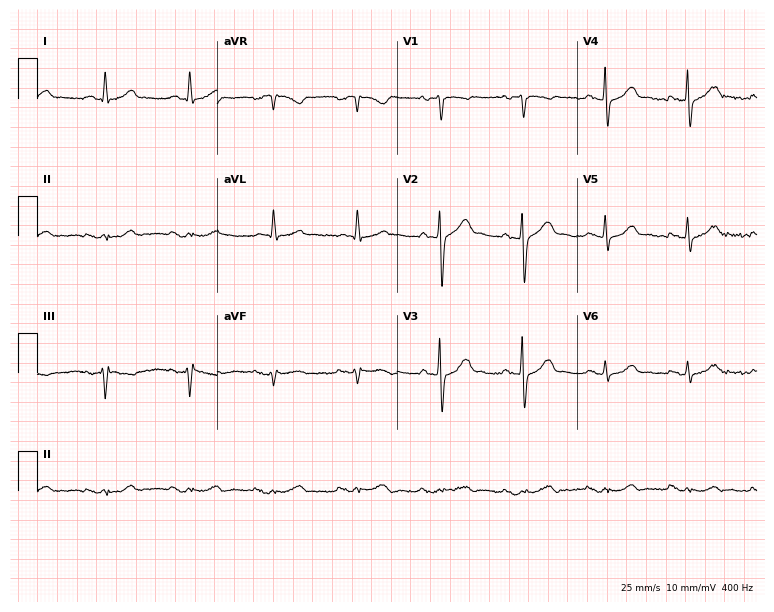
Electrocardiogram (7.3-second recording at 400 Hz), a 66-year-old male patient. Overall reading on record: normal ECG.